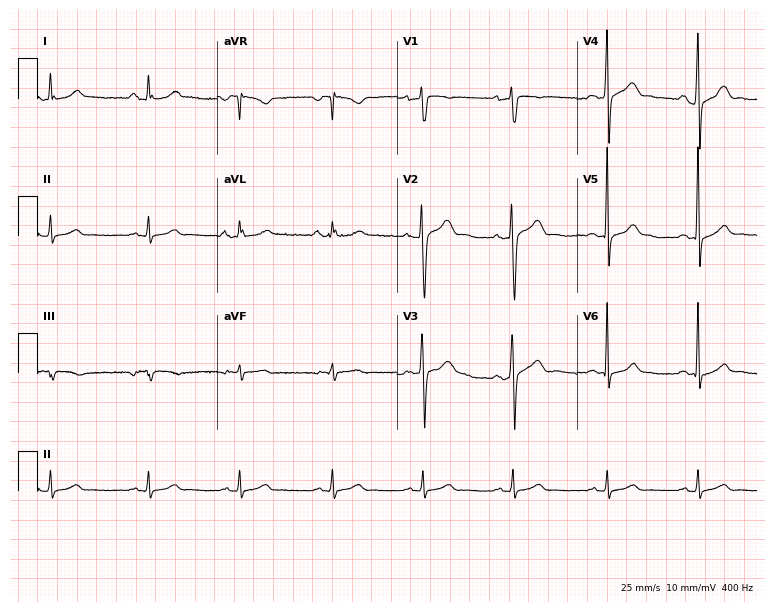
Resting 12-lead electrocardiogram (7.3-second recording at 400 Hz). Patient: a 25-year-old male. None of these six findings is recorded: first-degree AV block, right bundle branch block (RBBB), left bundle branch block (LBBB), sinus bradycardia, atrial fibrillation (AF), sinus tachycardia. Only these six findings were labelled.